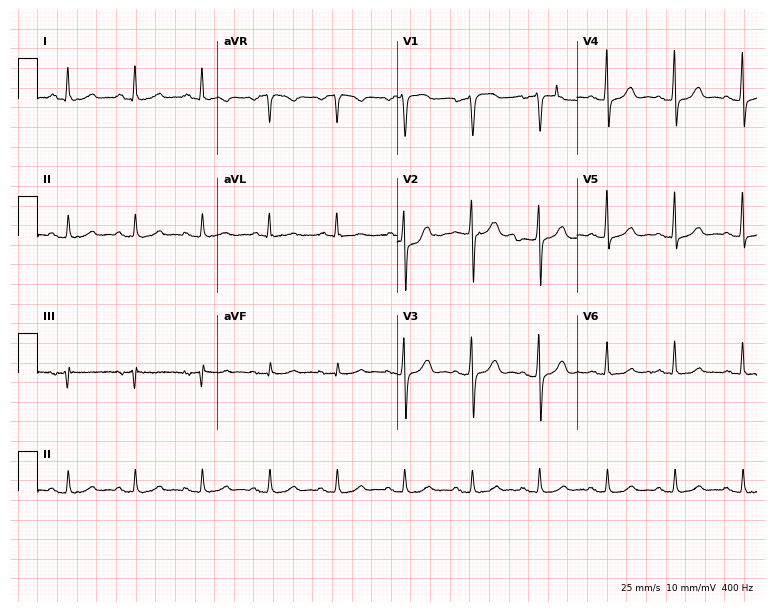
Standard 12-lead ECG recorded from a female patient, 58 years old. Read as a normal ECG.